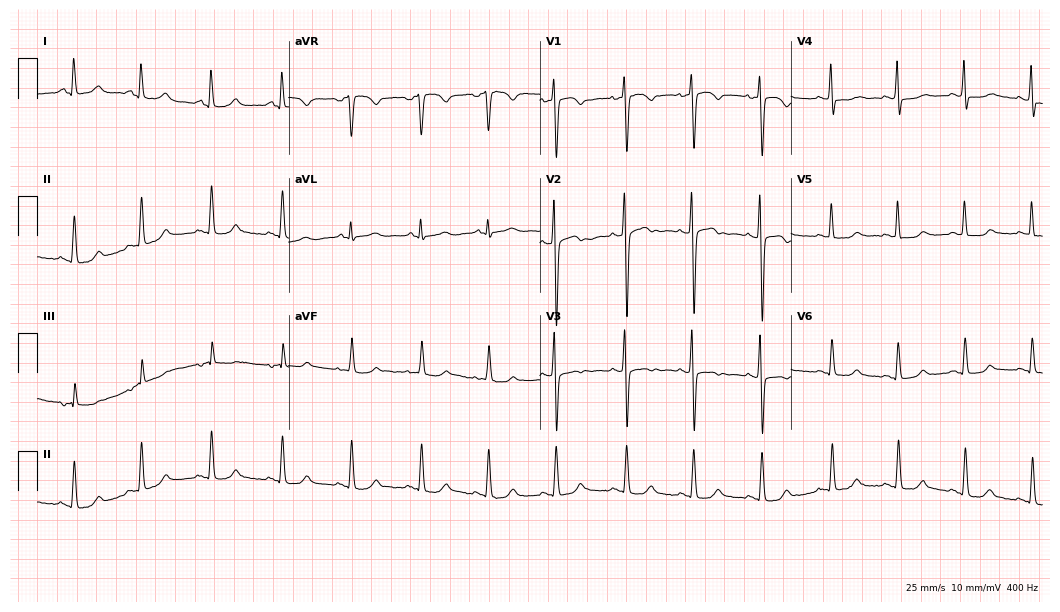
Standard 12-lead ECG recorded from a female patient, 44 years old. None of these six findings is recorded: first-degree AV block, right bundle branch block (RBBB), left bundle branch block (LBBB), sinus bradycardia, atrial fibrillation (AF), sinus tachycardia. Other findings, if any, are not listed.